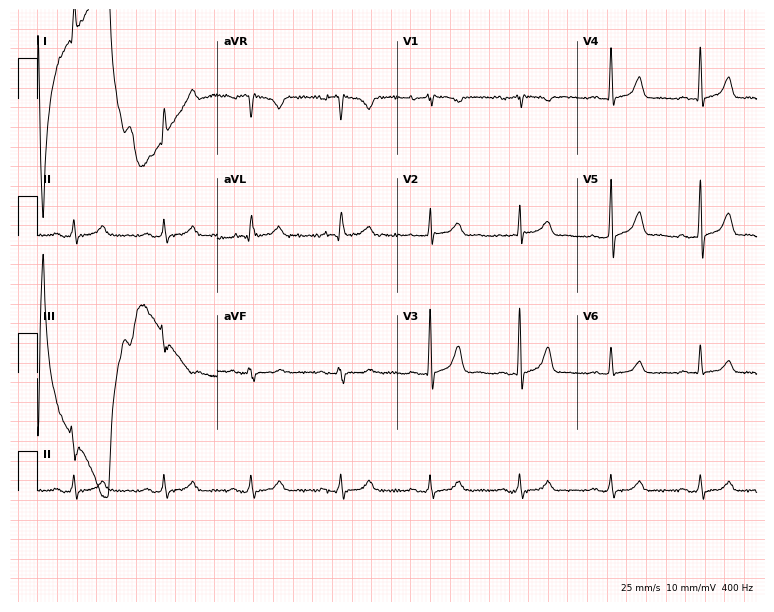
Standard 12-lead ECG recorded from a female patient, 67 years old (7.3-second recording at 400 Hz). Read as a normal ECG.